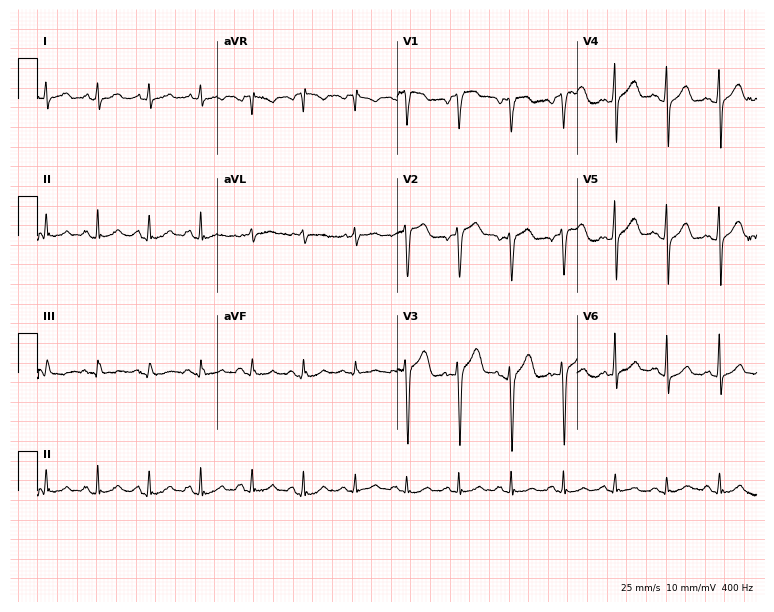
Electrocardiogram, a male, 56 years old. Interpretation includes sinus tachycardia (a sinus rate of 100 beats per minute or more).